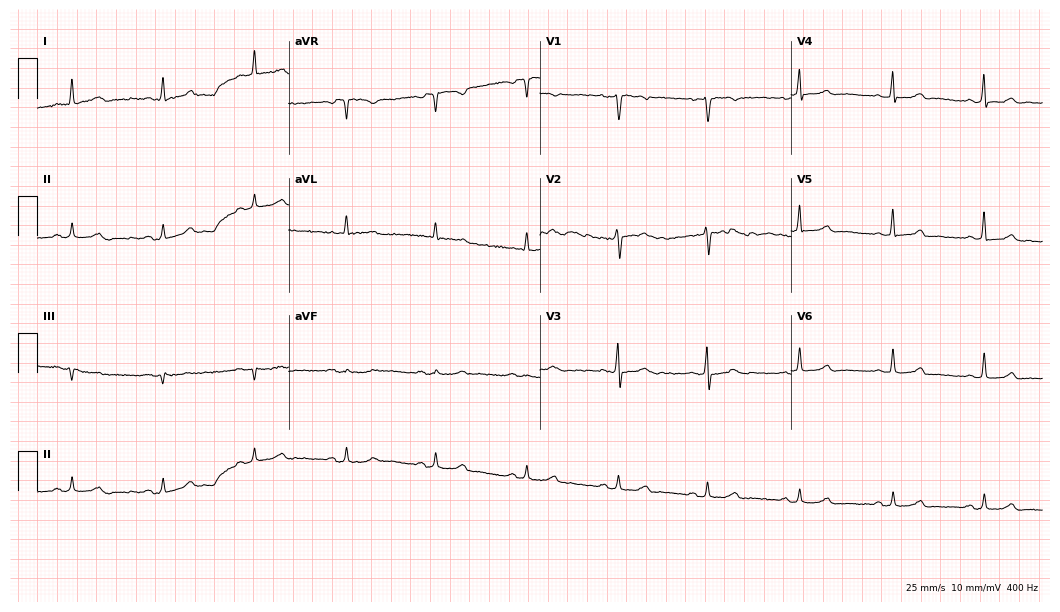
Resting 12-lead electrocardiogram (10.2-second recording at 400 Hz). Patient: a 54-year-old woman. Read as a normal ECG.